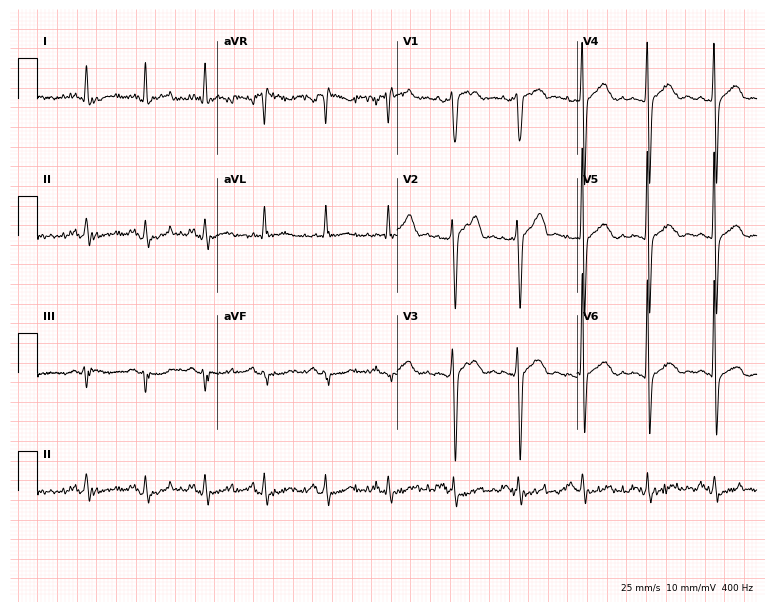
12-lead ECG from a male, 48 years old. Screened for six findings — first-degree AV block, right bundle branch block, left bundle branch block, sinus bradycardia, atrial fibrillation, sinus tachycardia — none is recorded. Only these six findings were labelled.